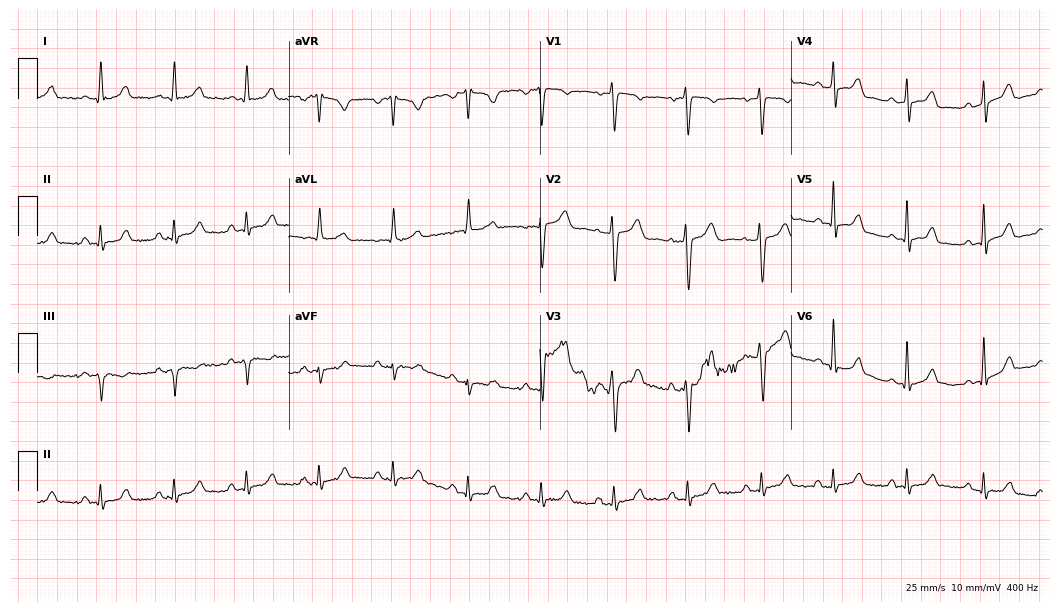
12-lead ECG from a male patient, 37 years old (10.2-second recording at 400 Hz). Recorded interpretation: within normal limits.